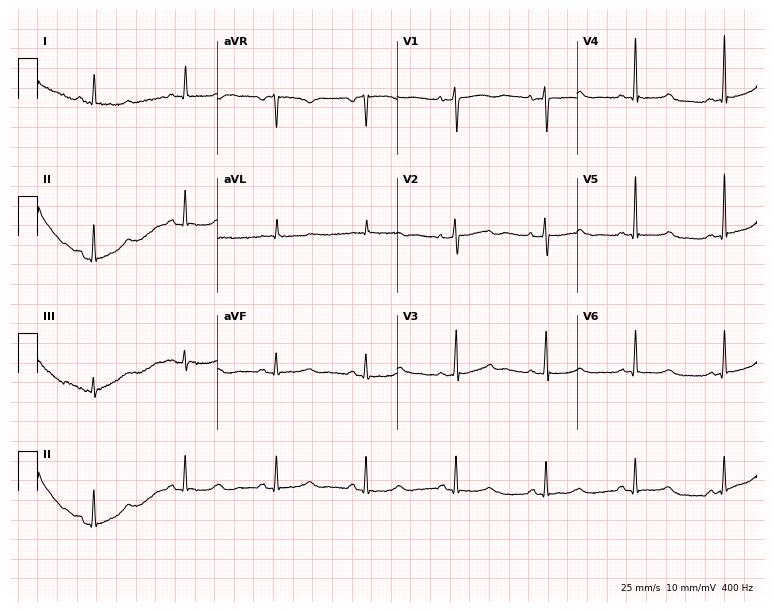
12-lead ECG from a 68-year-old female patient. Labelled as a normal ECG.